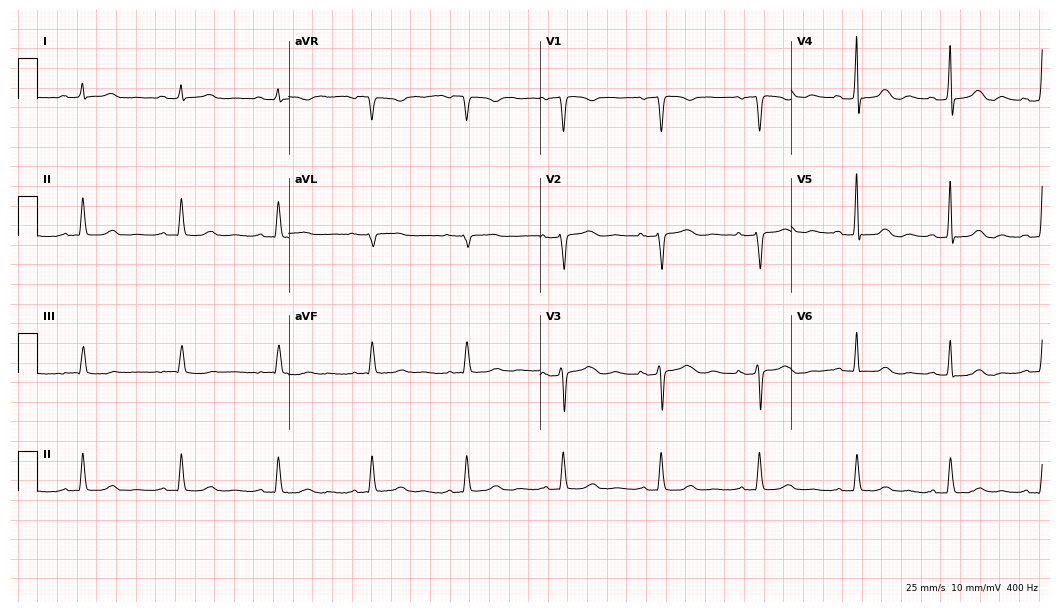
Resting 12-lead electrocardiogram. Patient: a 51-year-old woman. Read as a normal ECG.